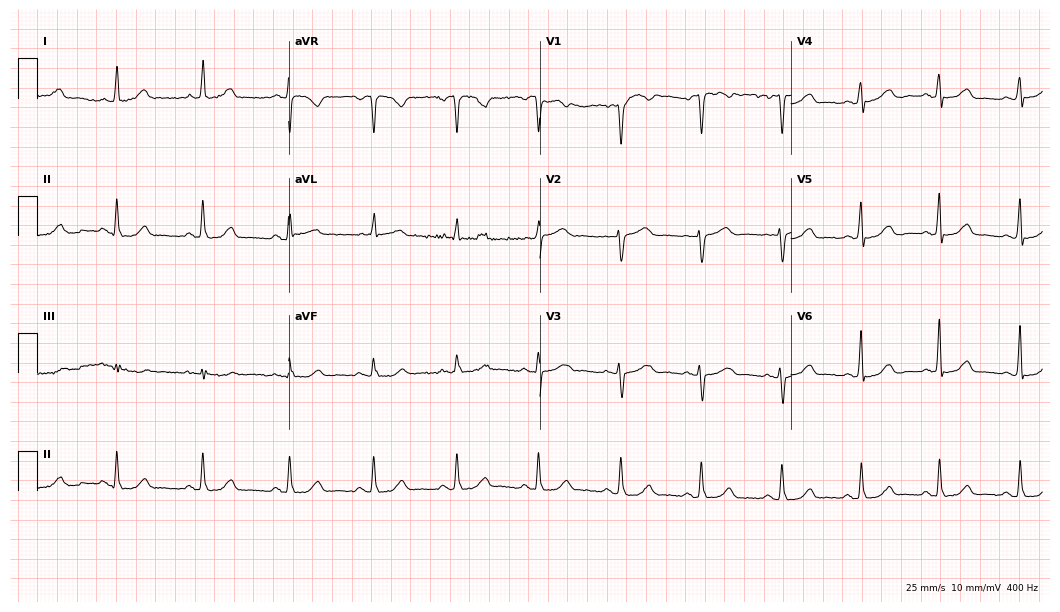
Electrocardiogram, a woman, 72 years old. Overall reading on record: normal ECG.